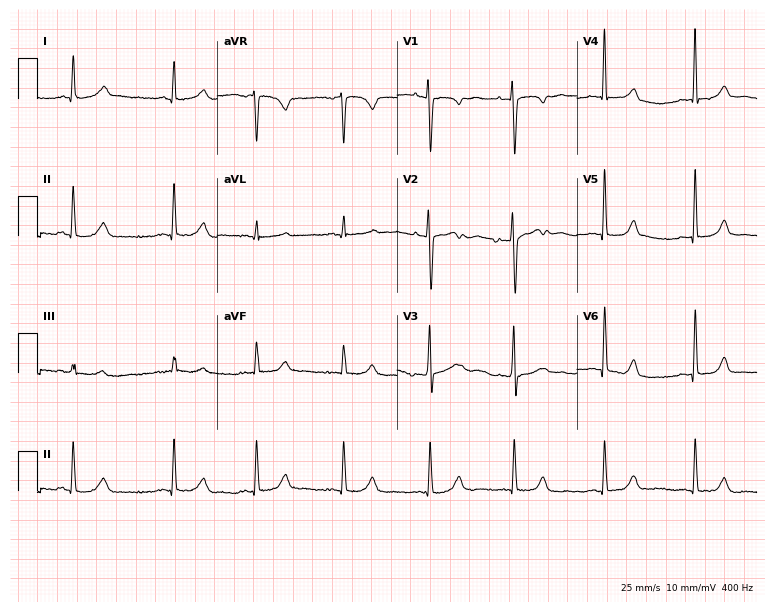
Resting 12-lead electrocardiogram. Patient: a 27-year-old female. Read as a normal ECG.